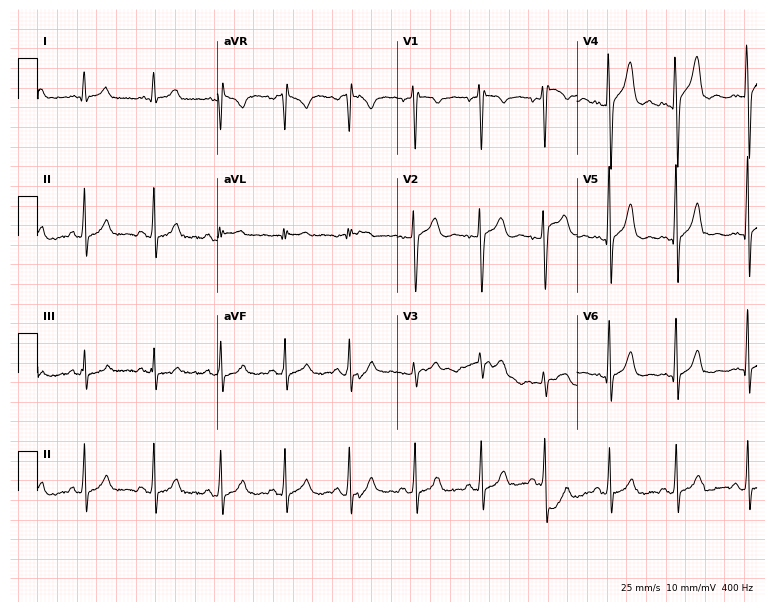
12-lead ECG from a male patient, 18 years old. Recorded interpretation: within normal limits.